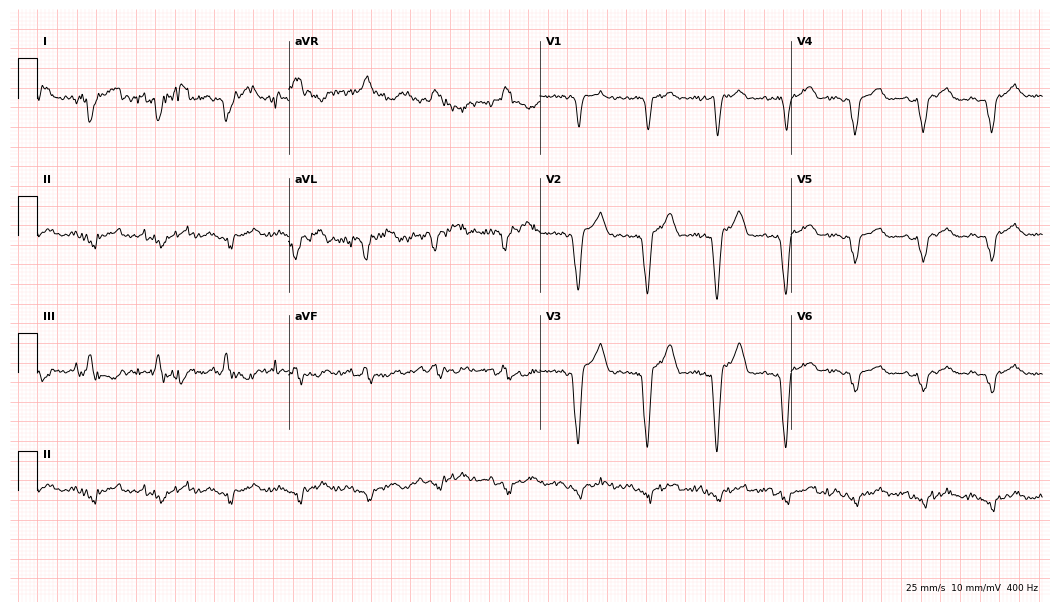
12-lead ECG from a female patient, 72 years old. Screened for six findings — first-degree AV block, right bundle branch block, left bundle branch block, sinus bradycardia, atrial fibrillation, sinus tachycardia — none is recorded. Findings outside these six are not listed.